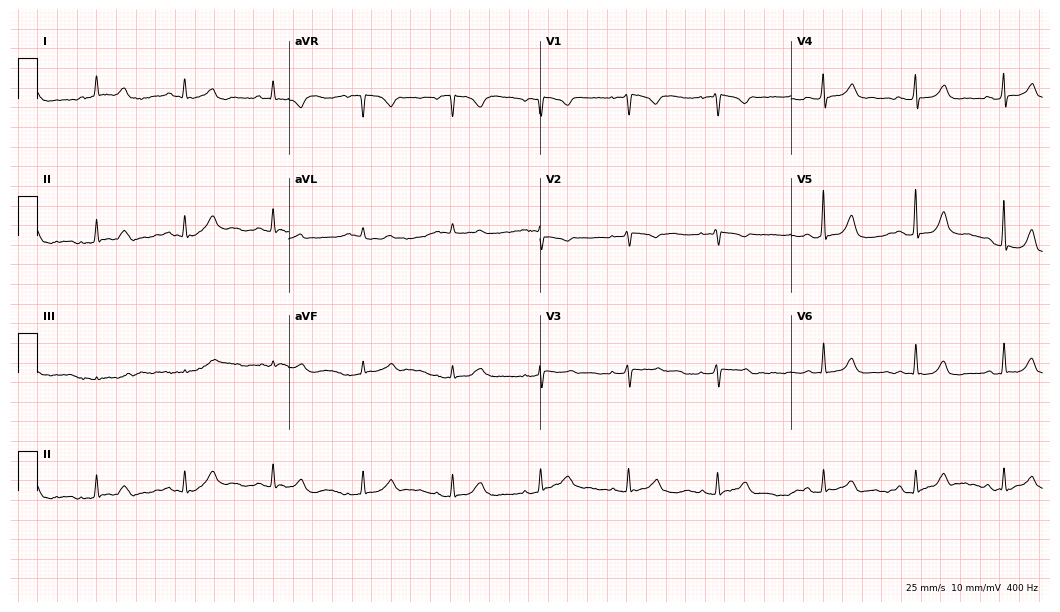
Resting 12-lead electrocardiogram (10.2-second recording at 400 Hz). Patient: a 55-year-old female. Read as a normal ECG.